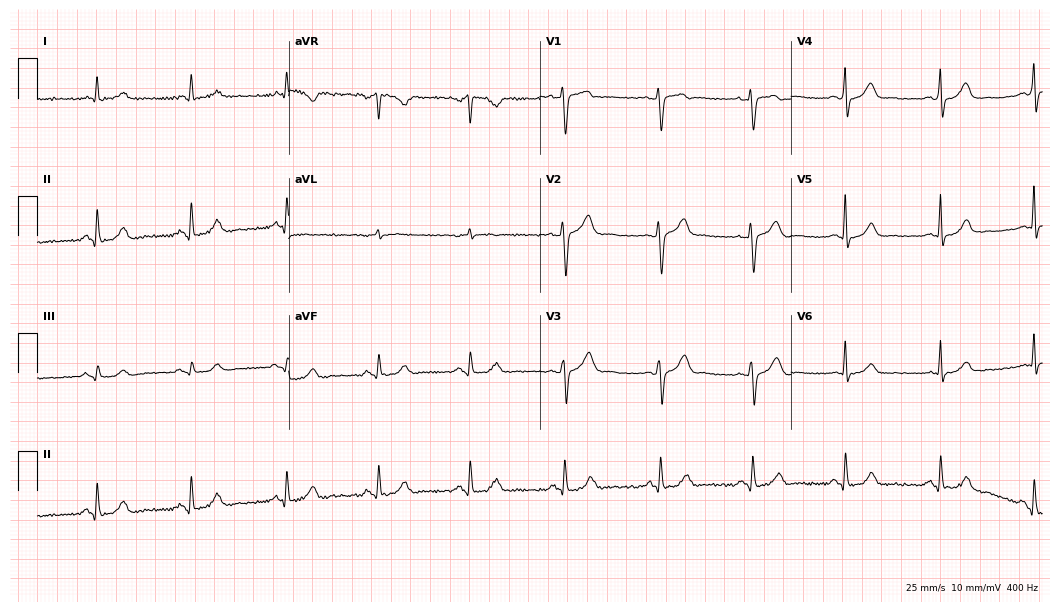
12-lead ECG (10.2-second recording at 400 Hz) from a 49-year-old male patient. Labelled as a normal ECG.